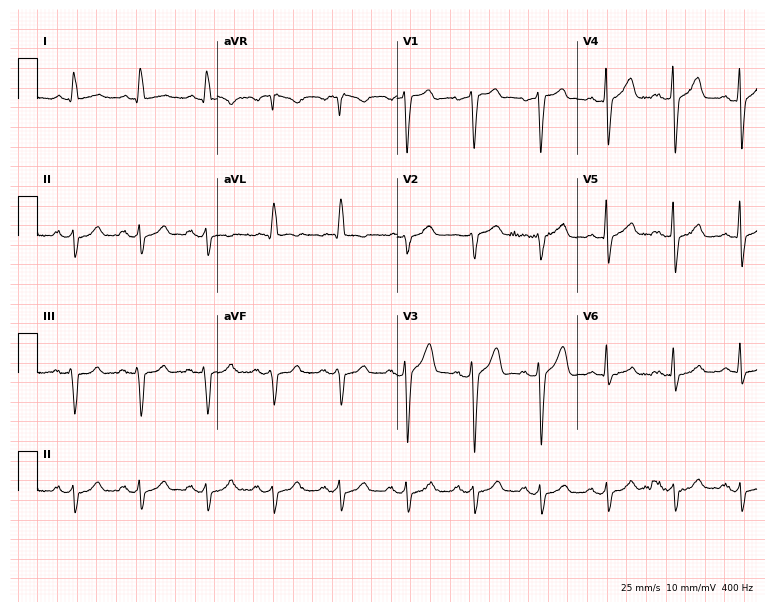
12-lead ECG from a man, 80 years old. Screened for six findings — first-degree AV block, right bundle branch block (RBBB), left bundle branch block (LBBB), sinus bradycardia, atrial fibrillation (AF), sinus tachycardia — none is recorded. Only these six findings were labelled.